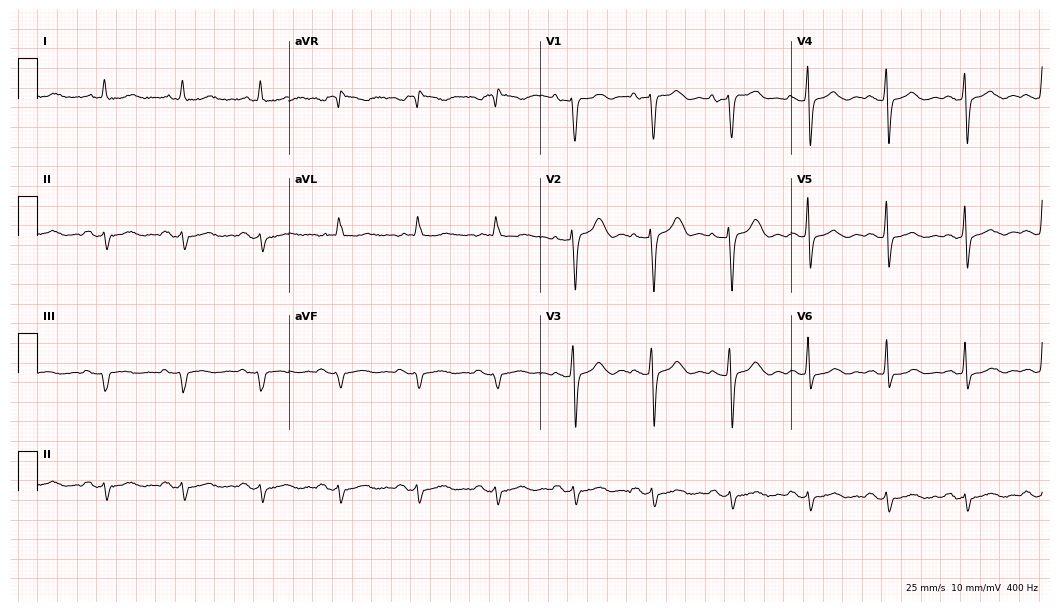
ECG — a 77-year-old male patient. Screened for six findings — first-degree AV block, right bundle branch block (RBBB), left bundle branch block (LBBB), sinus bradycardia, atrial fibrillation (AF), sinus tachycardia — none is recorded. Findings outside these six are not listed.